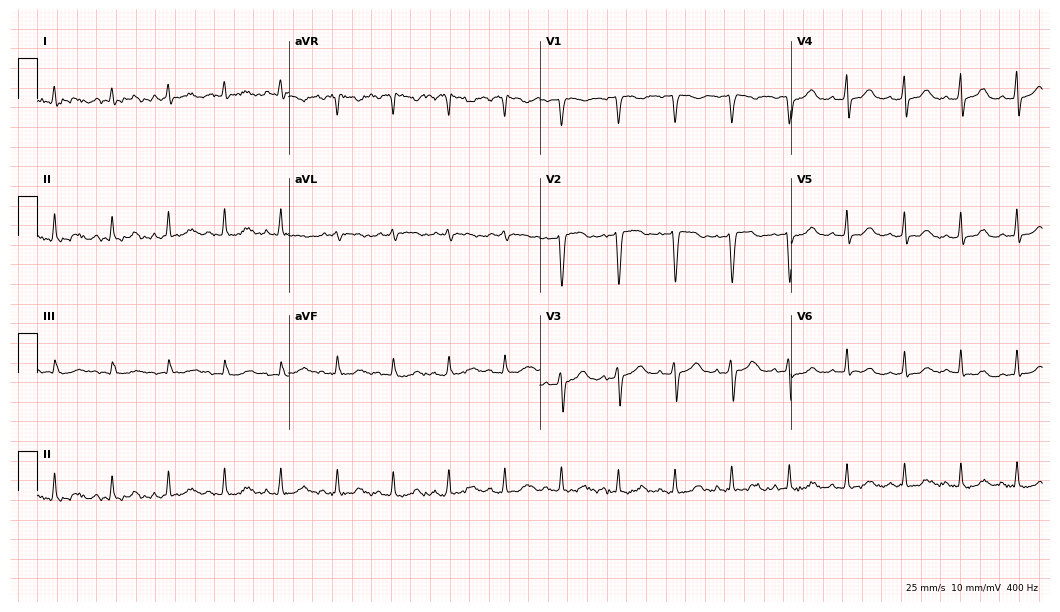
12-lead ECG (10.2-second recording at 400 Hz) from a female, 43 years old. Screened for six findings — first-degree AV block, right bundle branch block, left bundle branch block, sinus bradycardia, atrial fibrillation, sinus tachycardia — none is recorded. Findings outside these six are not listed.